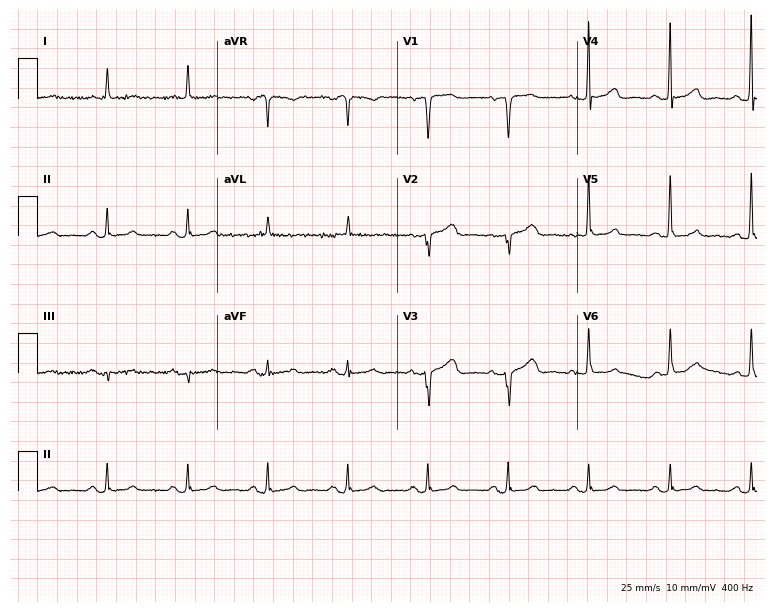
12-lead ECG from a woman, 82 years old. No first-degree AV block, right bundle branch block, left bundle branch block, sinus bradycardia, atrial fibrillation or sinus tachycardia recorded for this tracing. Only these six findings were labelled.